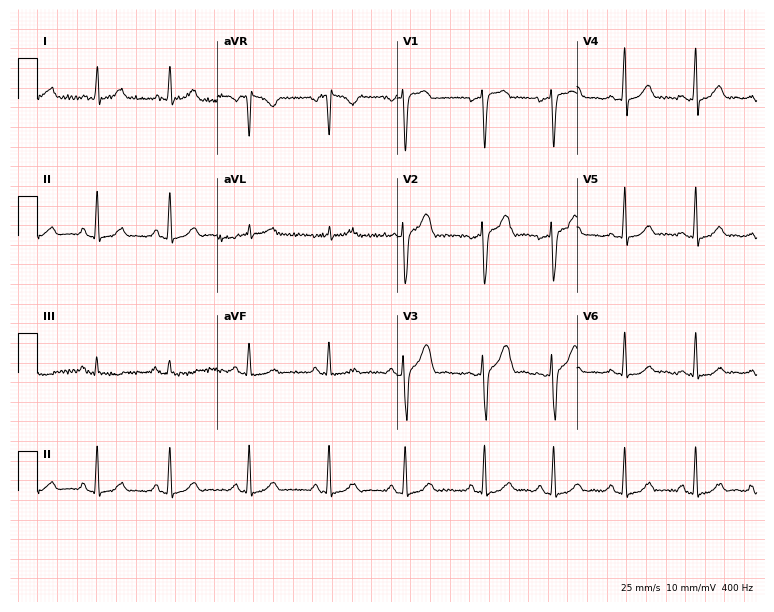
Electrocardiogram (7.3-second recording at 400 Hz), a 35-year-old female patient. Overall reading on record: normal ECG.